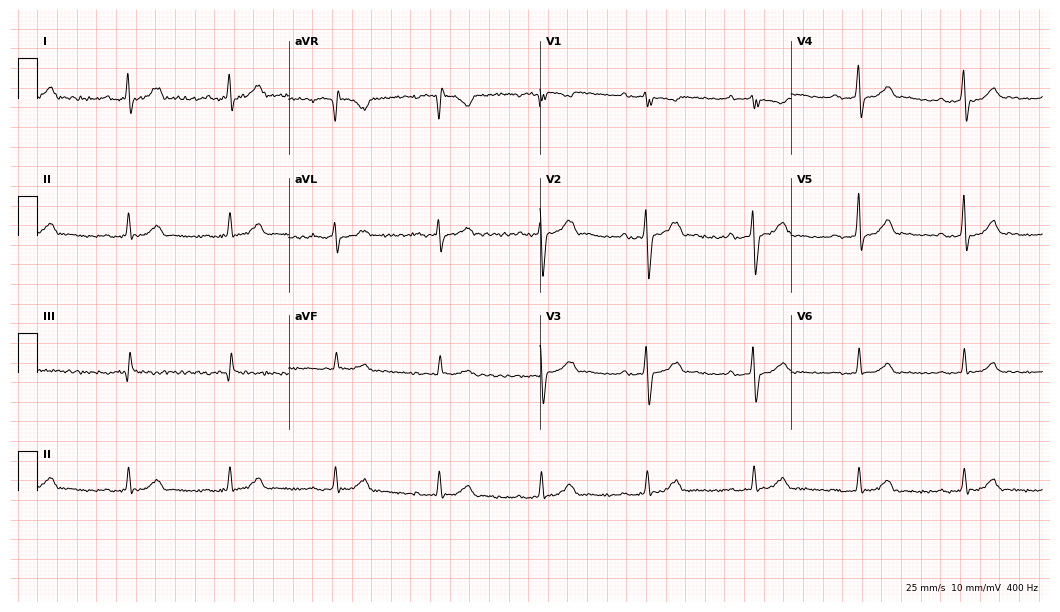
12-lead ECG (10.2-second recording at 400 Hz) from a man, 34 years old. Findings include first-degree AV block.